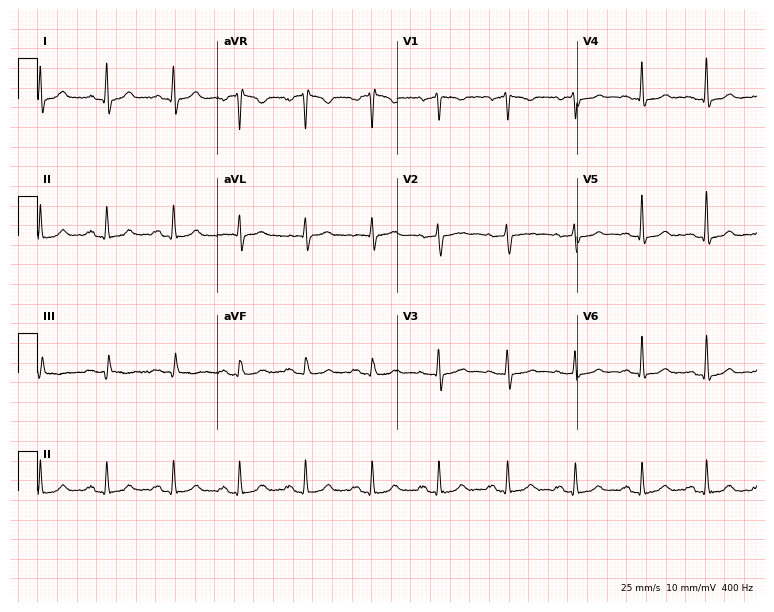
Electrocardiogram (7.3-second recording at 400 Hz), a 52-year-old woman. Overall reading on record: normal ECG.